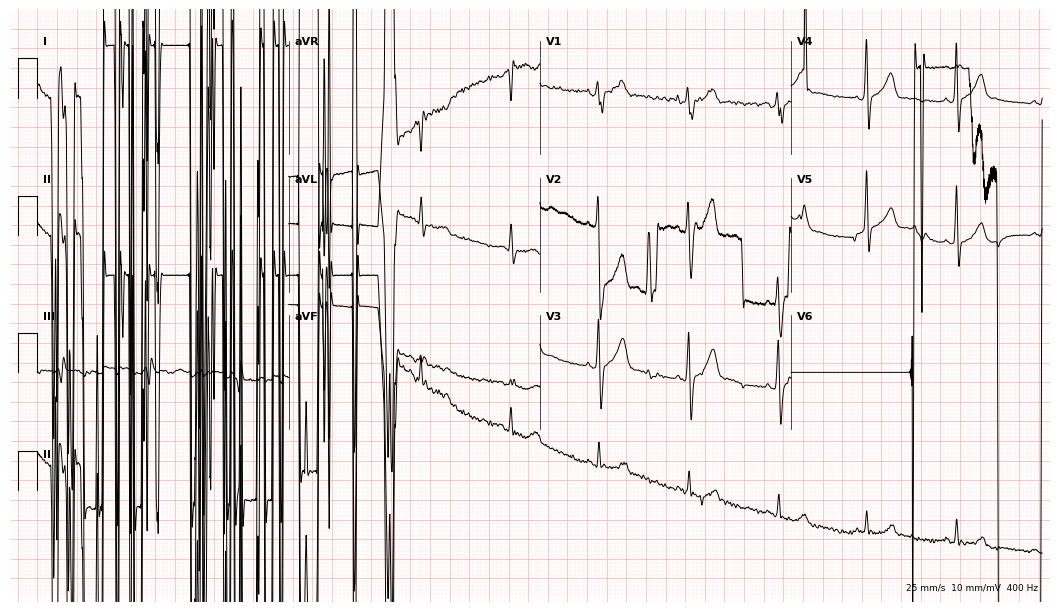
ECG (10.2-second recording at 400 Hz) — a 34-year-old male. Screened for six findings — first-degree AV block, right bundle branch block, left bundle branch block, sinus bradycardia, atrial fibrillation, sinus tachycardia — none is recorded. Only these six findings were labelled.